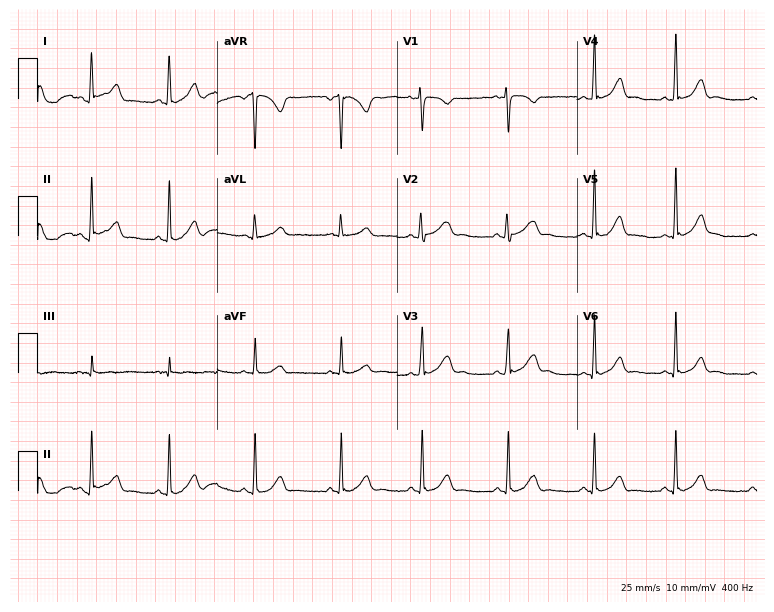
Electrocardiogram, a 25-year-old female patient. Overall reading on record: normal ECG.